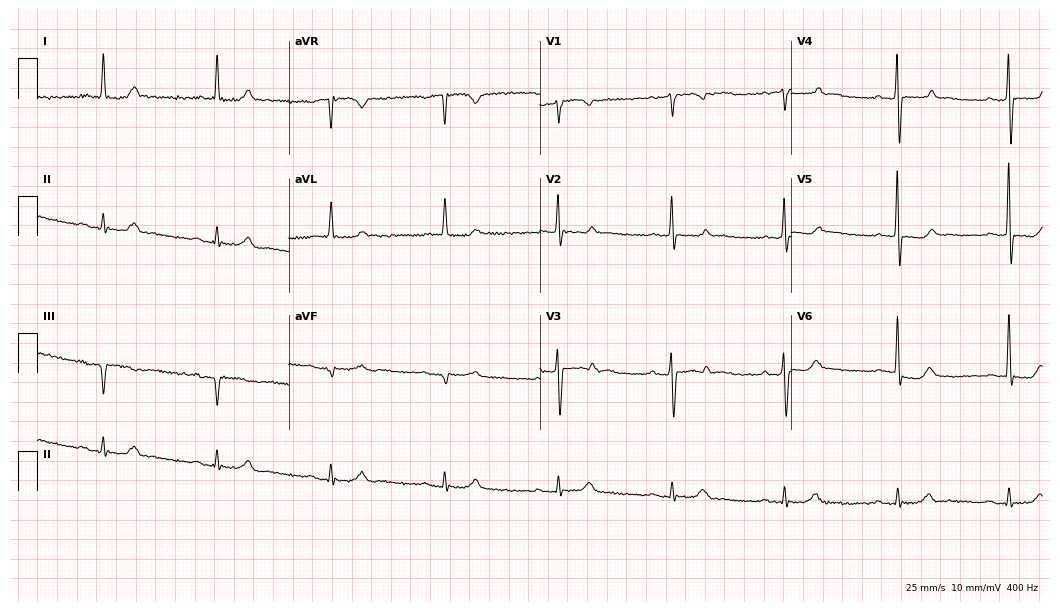
Electrocardiogram (10.2-second recording at 400 Hz), a 76-year-old male patient. Of the six screened findings (first-degree AV block, right bundle branch block, left bundle branch block, sinus bradycardia, atrial fibrillation, sinus tachycardia), none is recorded. Only these six findings were labelled.